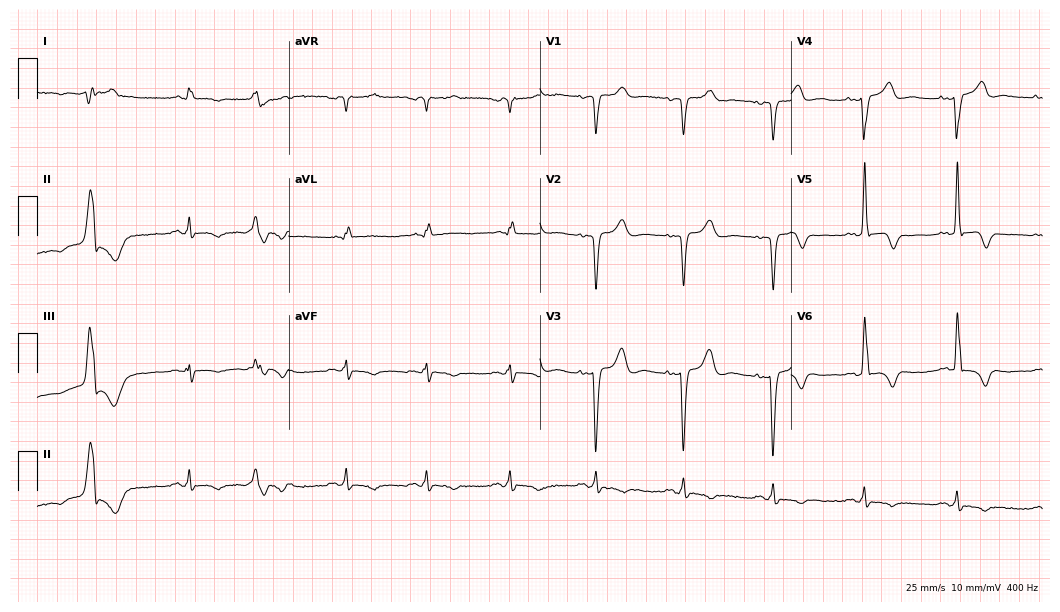
Standard 12-lead ECG recorded from a male patient, 78 years old. None of these six findings is recorded: first-degree AV block, right bundle branch block (RBBB), left bundle branch block (LBBB), sinus bradycardia, atrial fibrillation (AF), sinus tachycardia. Only these six findings were labelled.